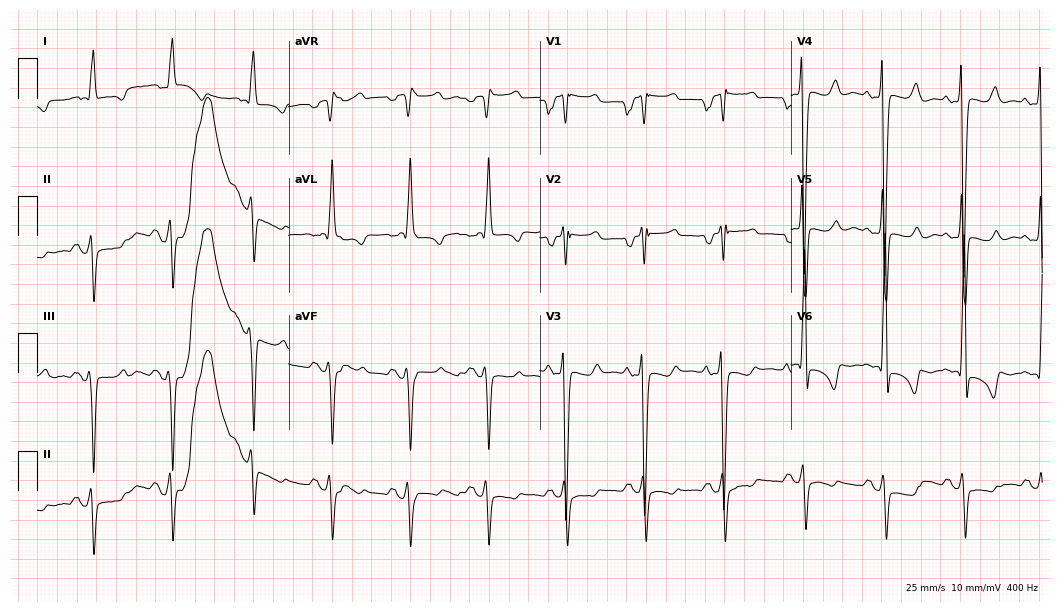
Resting 12-lead electrocardiogram (10.2-second recording at 400 Hz). Patient: a 28-year-old male. None of these six findings is recorded: first-degree AV block, right bundle branch block, left bundle branch block, sinus bradycardia, atrial fibrillation, sinus tachycardia.